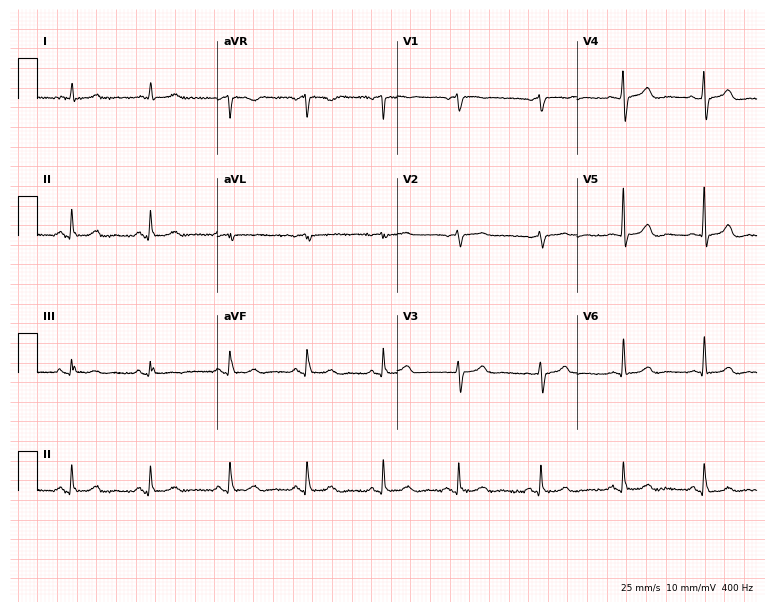
12-lead ECG (7.3-second recording at 400 Hz) from a 79-year-old male patient. Labelled as a normal ECG.